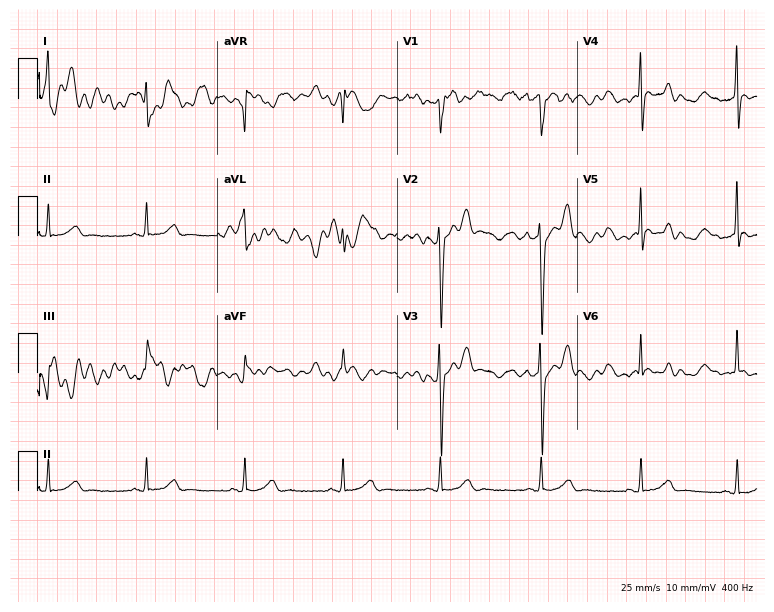
Standard 12-lead ECG recorded from a 36-year-old male. None of these six findings is recorded: first-degree AV block, right bundle branch block, left bundle branch block, sinus bradycardia, atrial fibrillation, sinus tachycardia. Other findings, if any, are not listed.